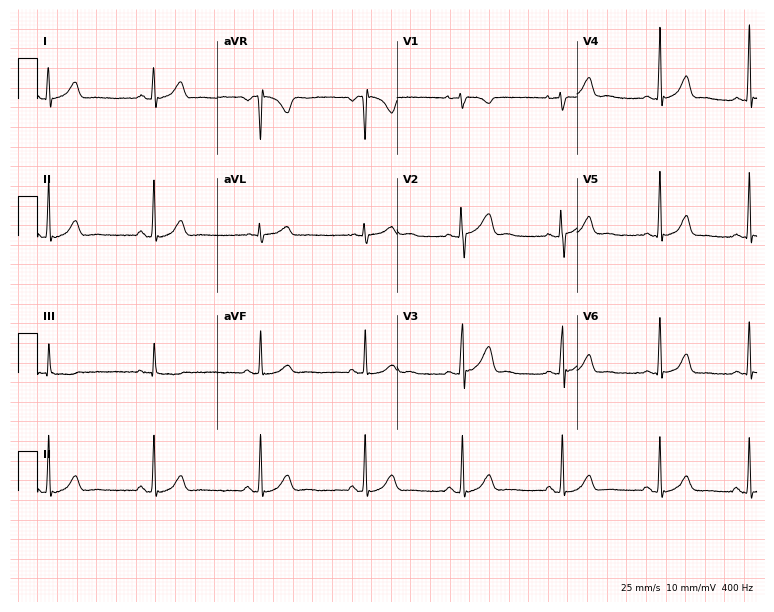
Standard 12-lead ECG recorded from a female patient, 20 years old (7.3-second recording at 400 Hz). Read as a normal ECG.